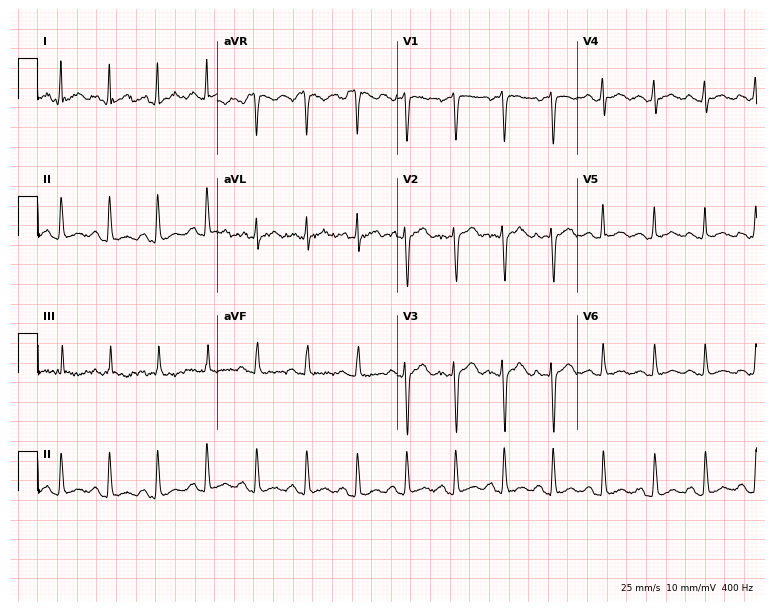
12-lead ECG from a woman, 21 years old. Shows sinus tachycardia (a sinus rate of 100 beats per minute or more).